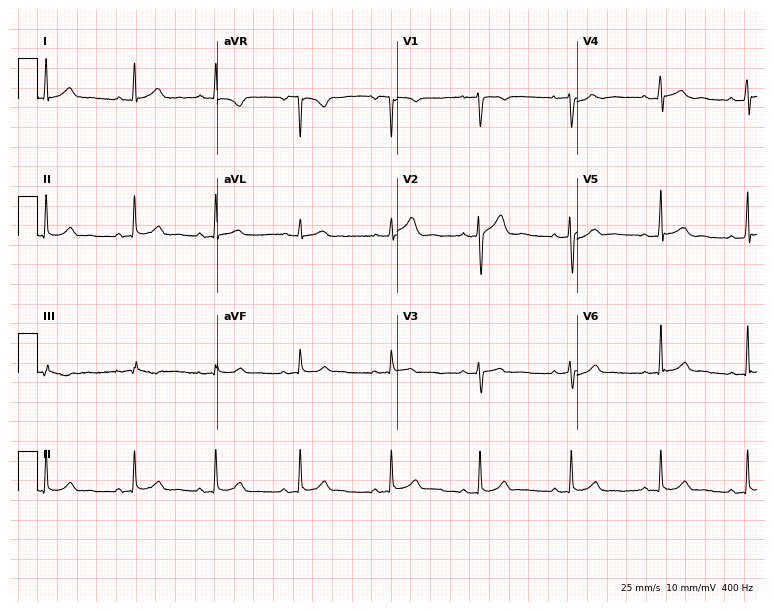
12-lead ECG from a 29-year-old male (7.3-second recording at 400 Hz). Recorded interpretation: within normal limits.